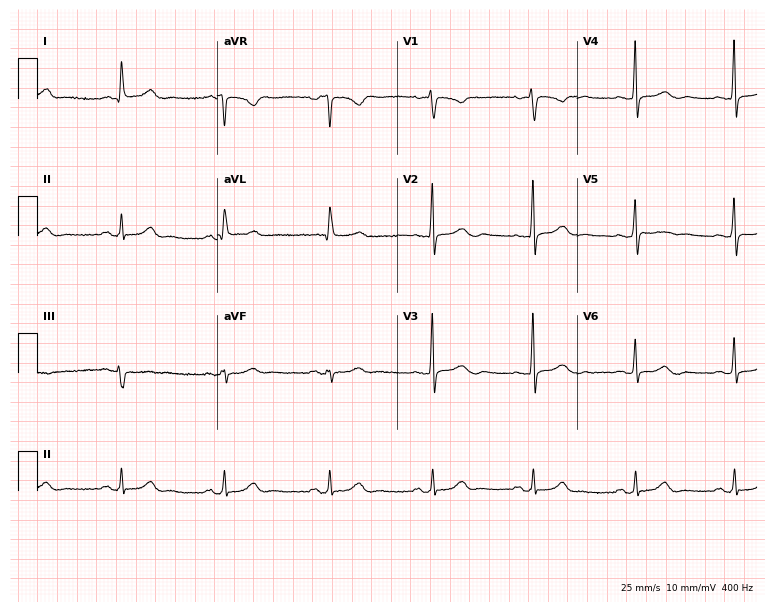
12-lead ECG (7.3-second recording at 400 Hz) from a 63-year-old female patient. Labelled as a normal ECG.